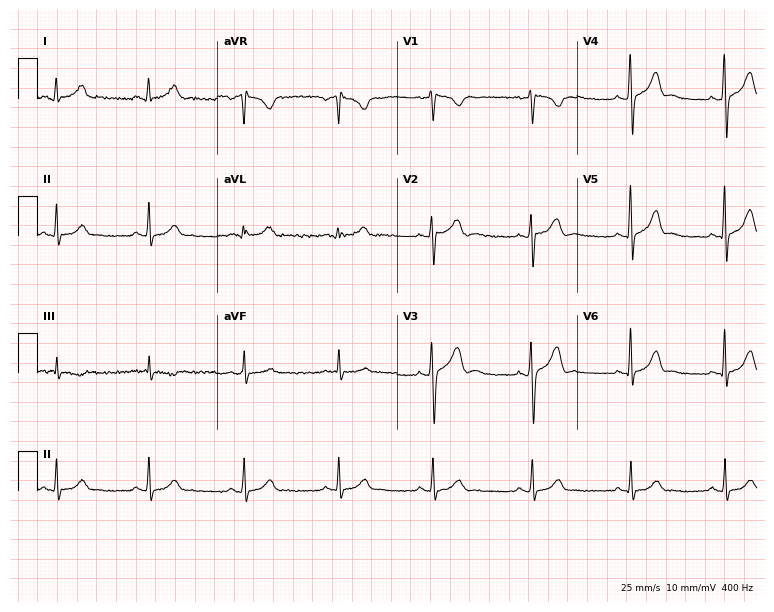
ECG (7.3-second recording at 400 Hz) — a 42-year-old male patient. Labelled as a normal ECG.